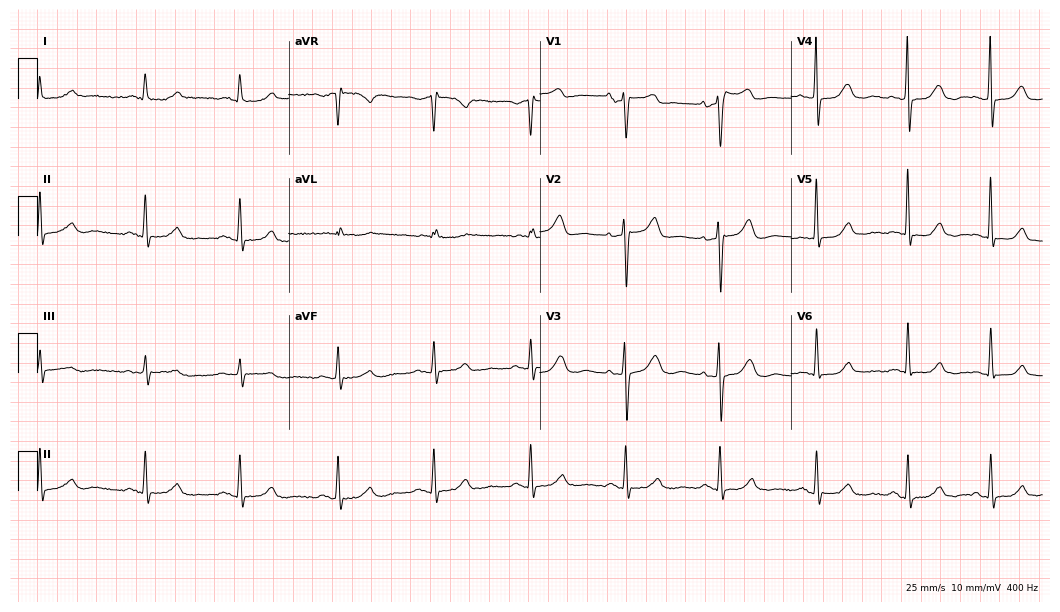
Resting 12-lead electrocardiogram (10.2-second recording at 400 Hz). Patient: a female, 88 years old. None of these six findings is recorded: first-degree AV block, right bundle branch block (RBBB), left bundle branch block (LBBB), sinus bradycardia, atrial fibrillation (AF), sinus tachycardia. Only these six findings were labelled.